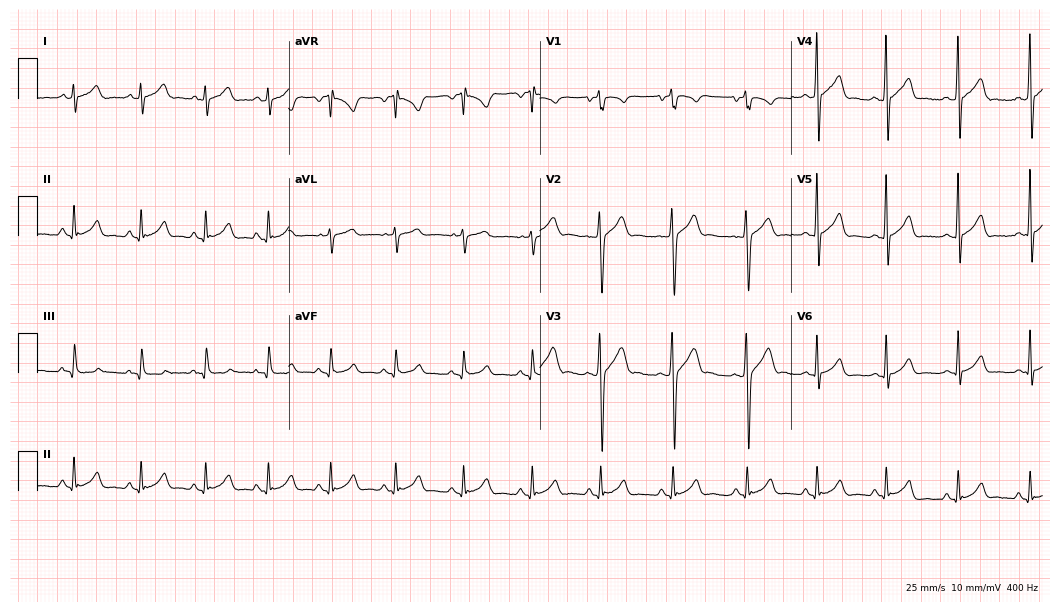
Resting 12-lead electrocardiogram. Patient: a male, 18 years old. Read as a normal ECG.